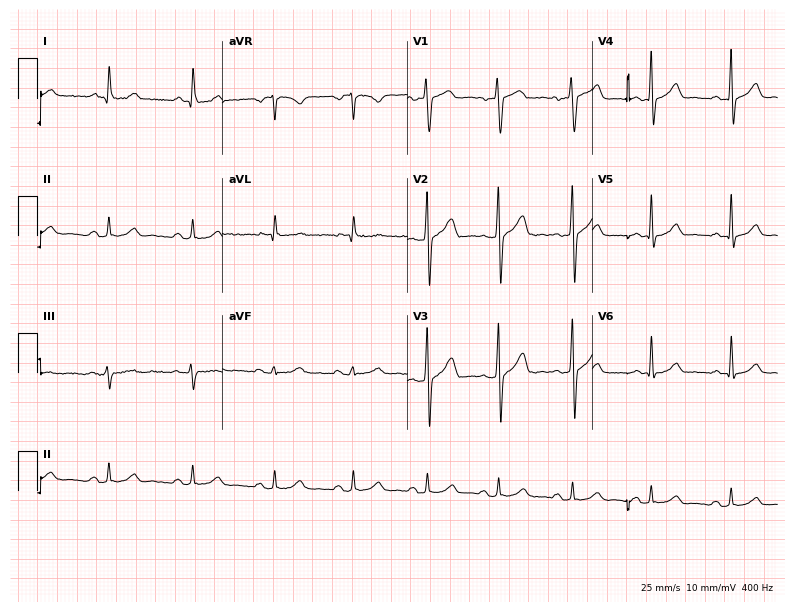
Standard 12-lead ECG recorded from a 47-year-old male patient (7.5-second recording at 400 Hz). None of these six findings is recorded: first-degree AV block, right bundle branch block (RBBB), left bundle branch block (LBBB), sinus bradycardia, atrial fibrillation (AF), sinus tachycardia.